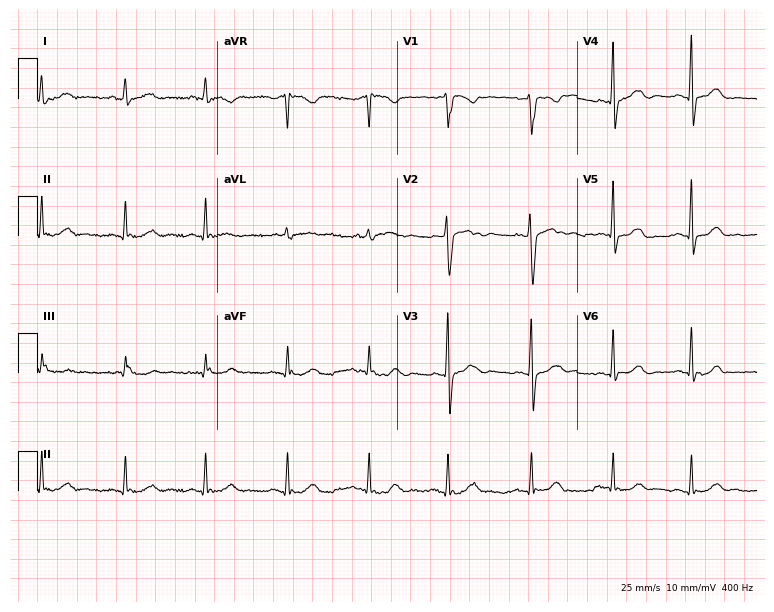
Standard 12-lead ECG recorded from a 45-year-old woman (7.3-second recording at 400 Hz). Read as a normal ECG.